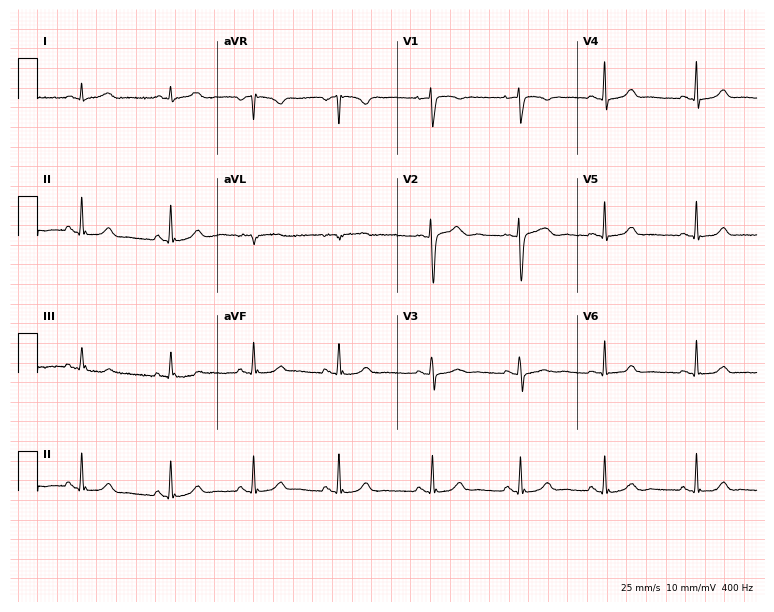
Standard 12-lead ECG recorded from a female patient, 31 years old (7.3-second recording at 400 Hz). Read as a normal ECG.